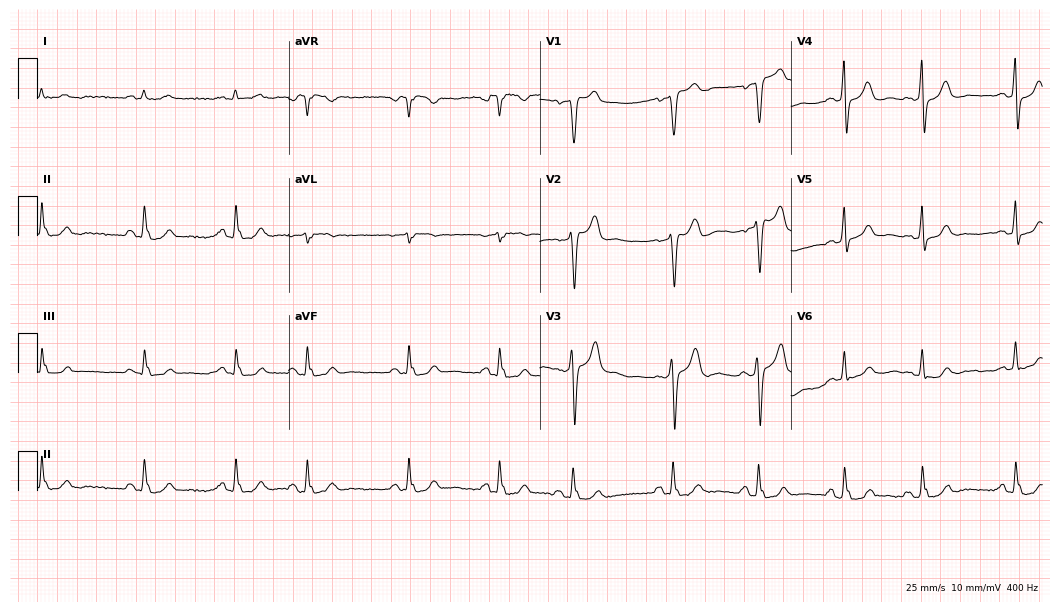
ECG — a man, 65 years old. Labelled as a normal ECG.